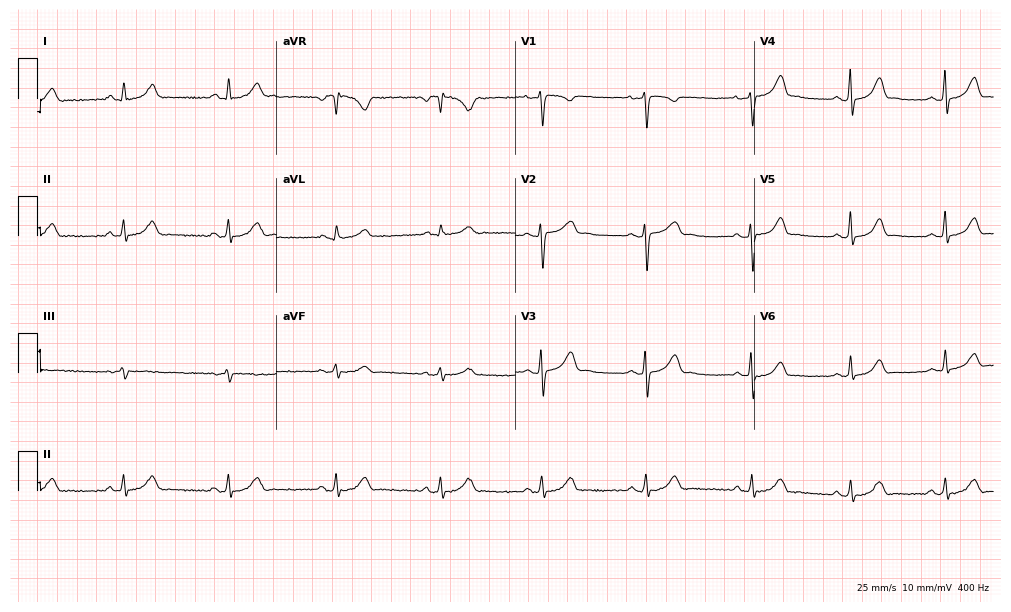
Electrocardiogram (9.7-second recording at 400 Hz), a female patient, 29 years old. Overall reading on record: normal ECG.